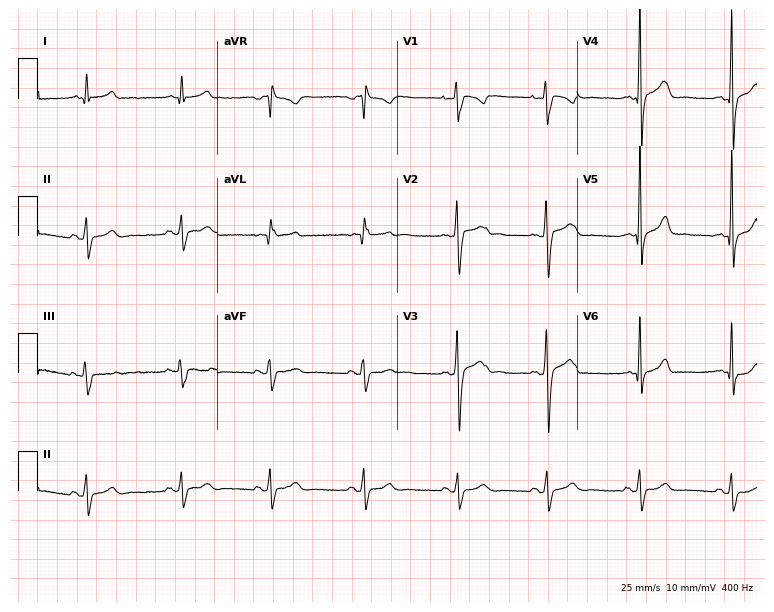
Electrocardiogram, a 40-year-old male patient. Overall reading on record: normal ECG.